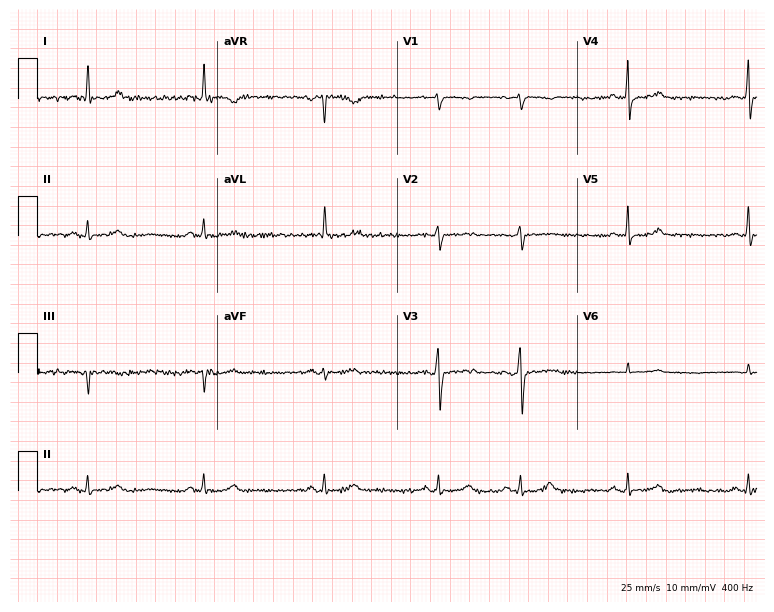
Resting 12-lead electrocardiogram (7.3-second recording at 400 Hz). Patient: a male, 29 years old. None of these six findings is recorded: first-degree AV block, right bundle branch block, left bundle branch block, sinus bradycardia, atrial fibrillation, sinus tachycardia.